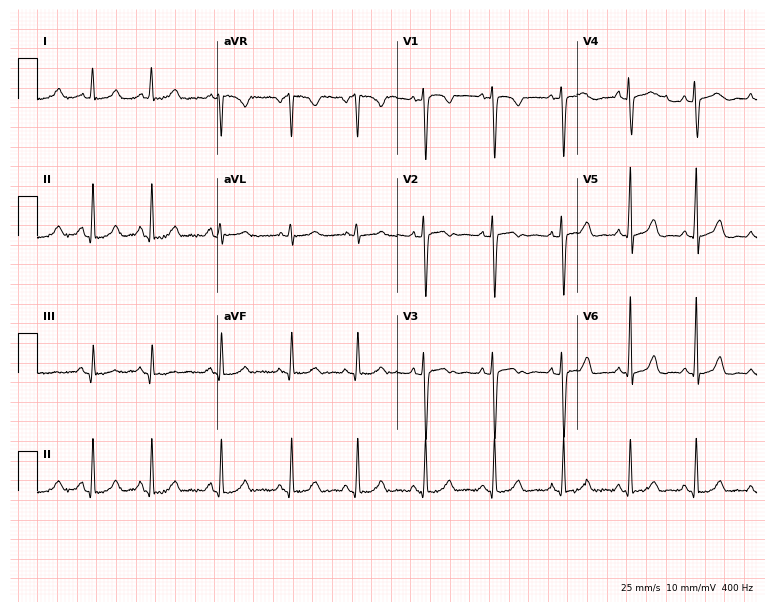
Standard 12-lead ECG recorded from a 21-year-old female. Read as a normal ECG.